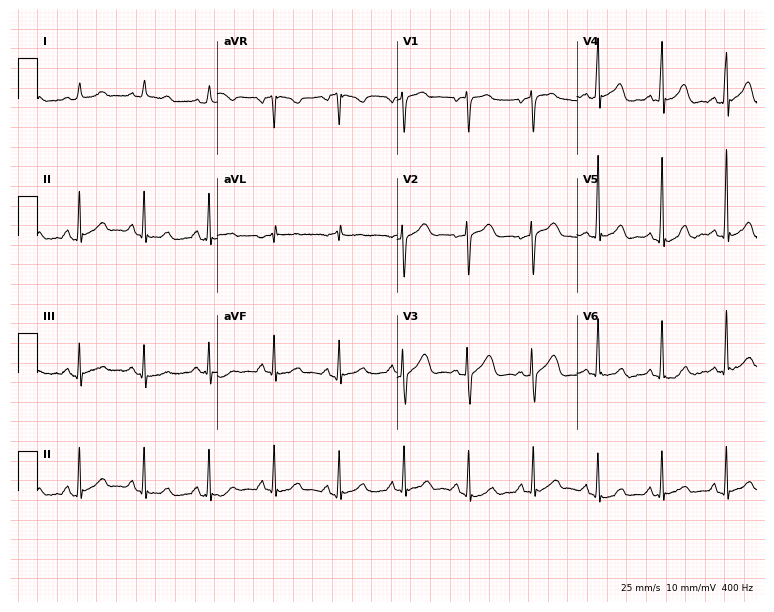
ECG (7.3-second recording at 400 Hz) — a woman, 63 years old. Labelled as a normal ECG.